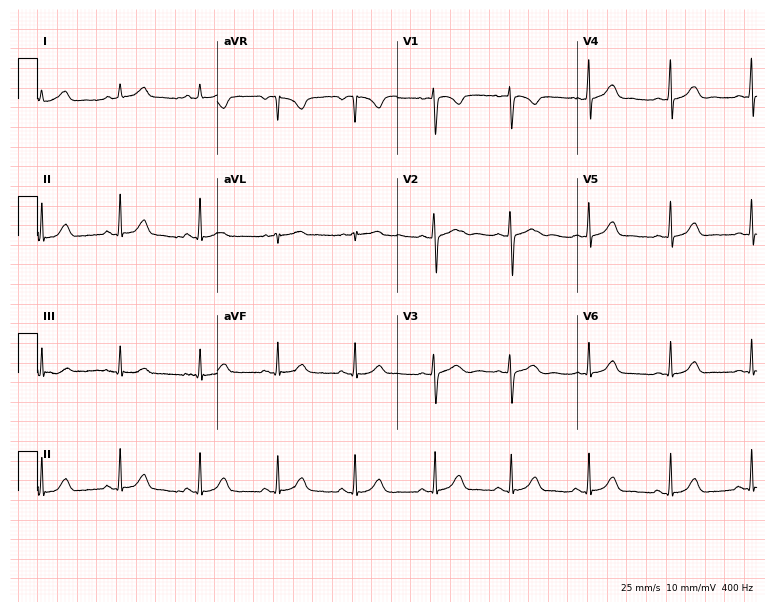
12-lead ECG from a female, 22 years old. Recorded interpretation: within normal limits.